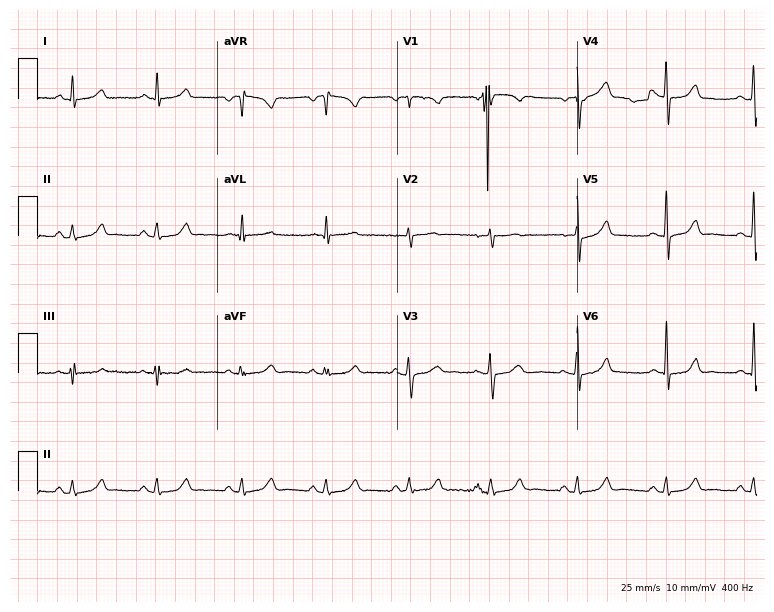
ECG (7.3-second recording at 400 Hz) — a woman, 48 years old. Labelled as a normal ECG.